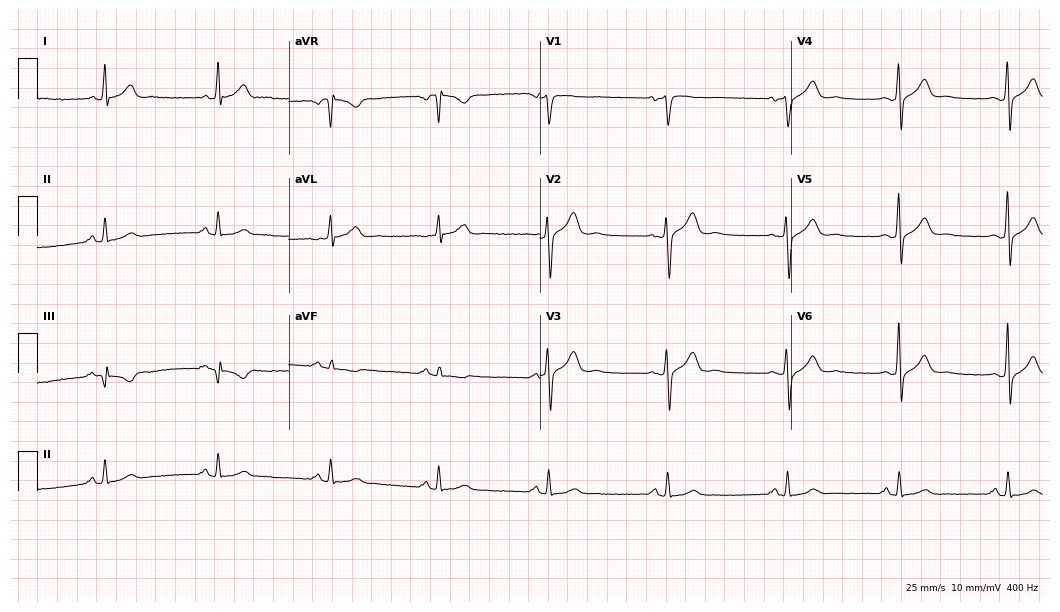
12-lead ECG from a male, 41 years old. Labelled as a normal ECG.